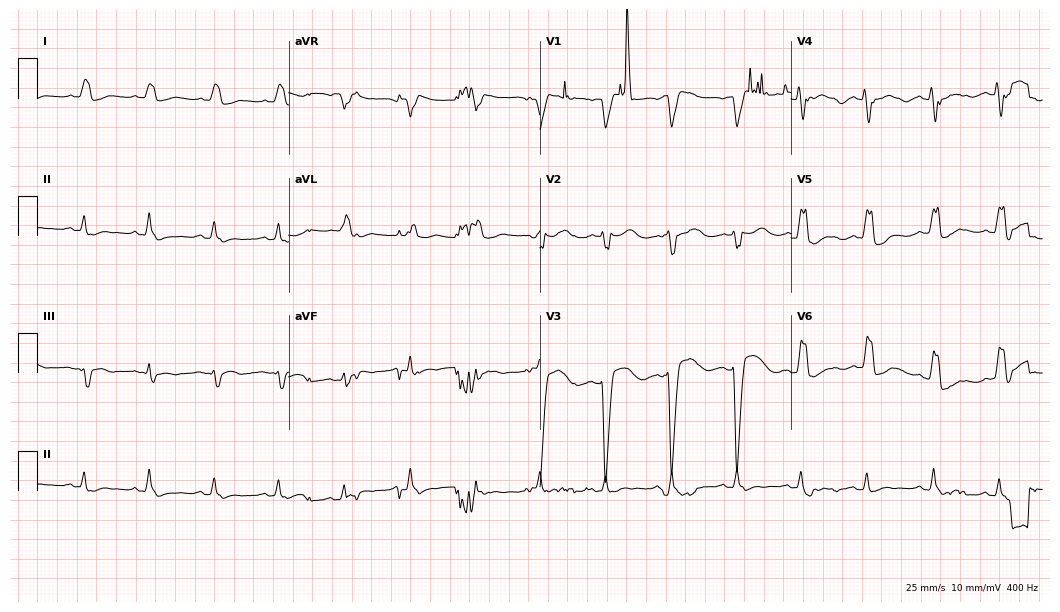
12-lead ECG from an 84-year-old female (10.2-second recording at 400 Hz). Shows left bundle branch block (LBBB).